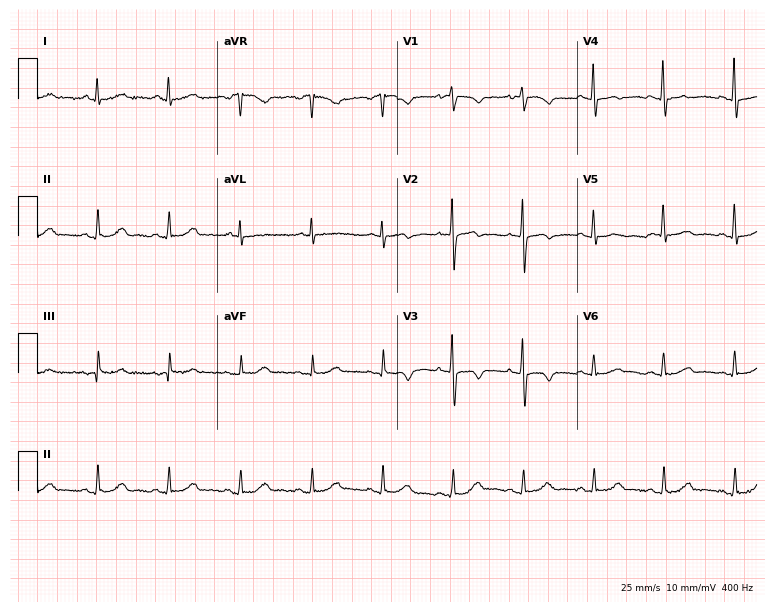
12-lead ECG from a female, 62 years old (7.3-second recording at 400 Hz). No first-degree AV block, right bundle branch block, left bundle branch block, sinus bradycardia, atrial fibrillation or sinus tachycardia recorded for this tracing.